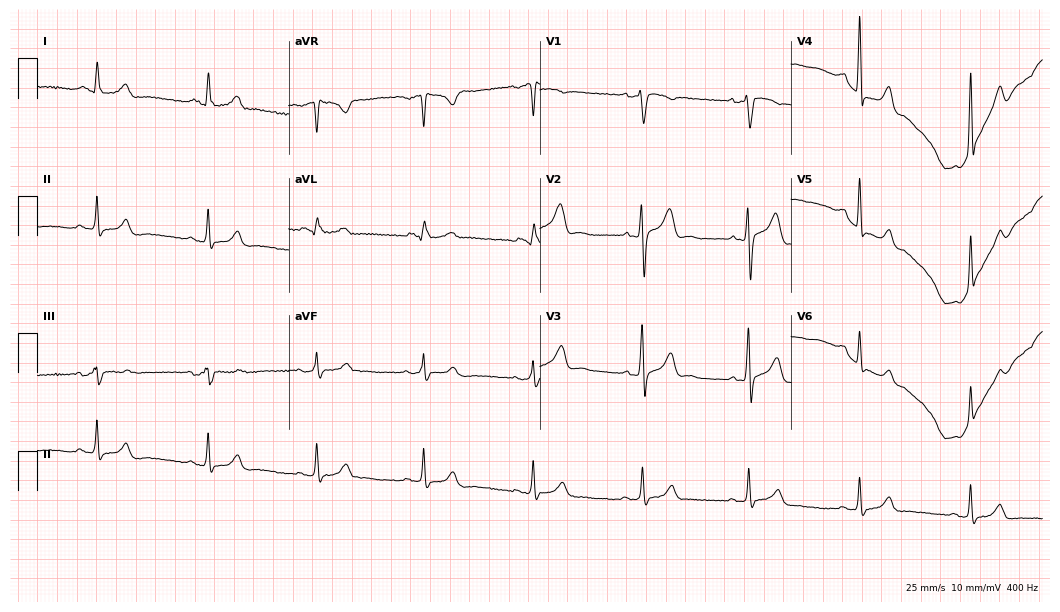
12-lead ECG from a 44-year-old man (10.2-second recording at 400 Hz). No first-degree AV block, right bundle branch block (RBBB), left bundle branch block (LBBB), sinus bradycardia, atrial fibrillation (AF) or sinus tachycardia recorded for this tracing. Findings outside these six are not listed.